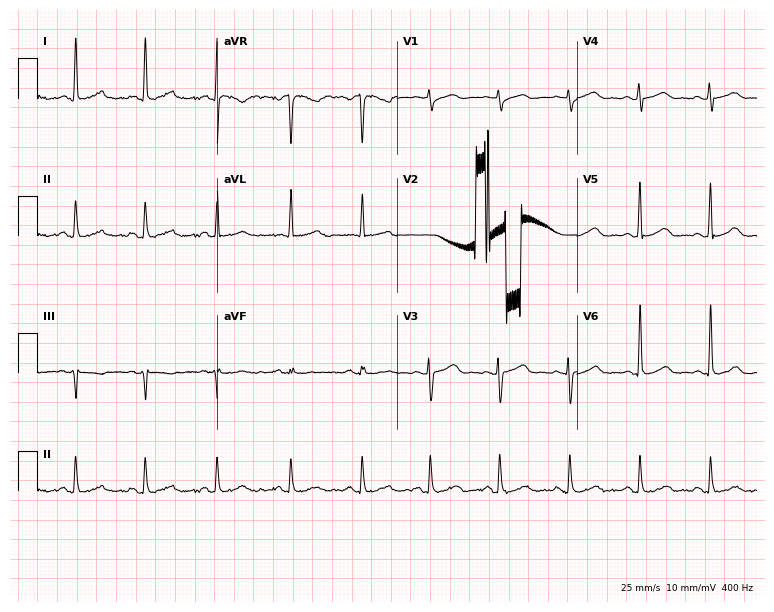
Standard 12-lead ECG recorded from a female patient, 46 years old (7.3-second recording at 400 Hz). Read as a normal ECG.